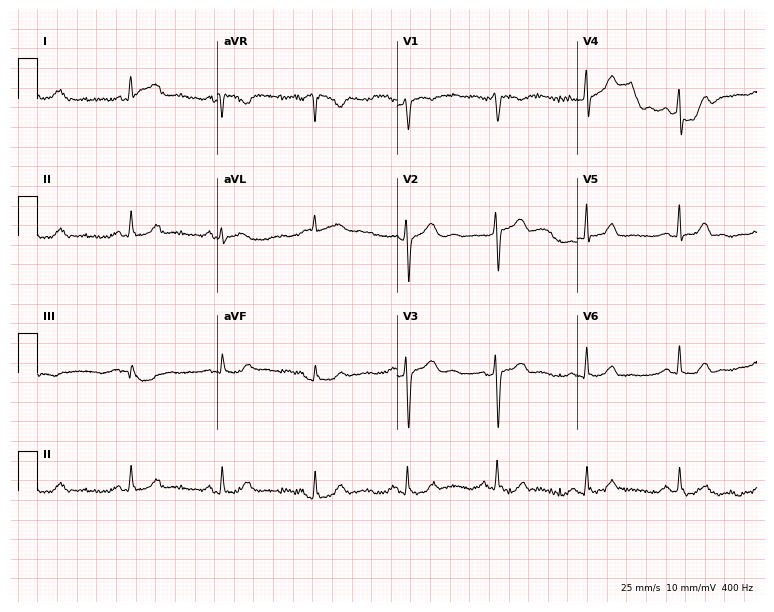
12-lead ECG from a 59-year-old female (7.3-second recording at 400 Hz). Recorded interpretation: within normal limits.